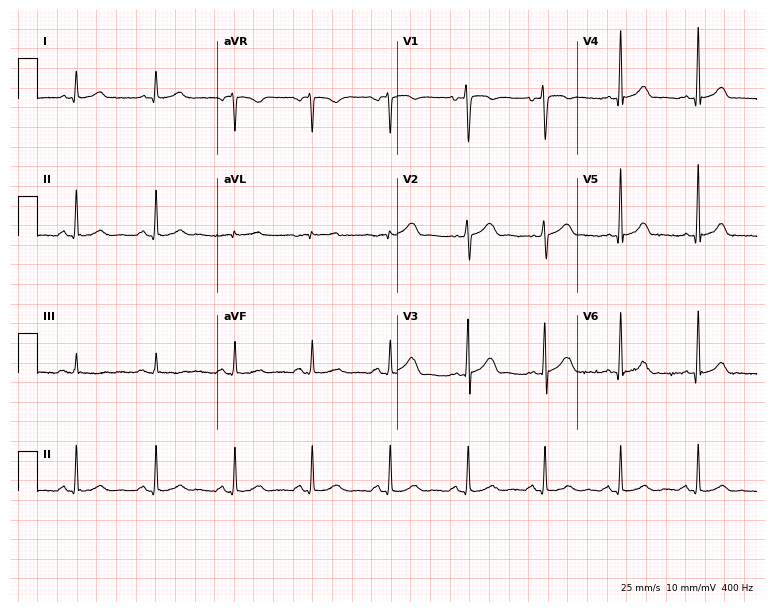
ECG (7.3-second recording at 400 Hz) — a male, 37 years old. Labelled as a normal ECG.